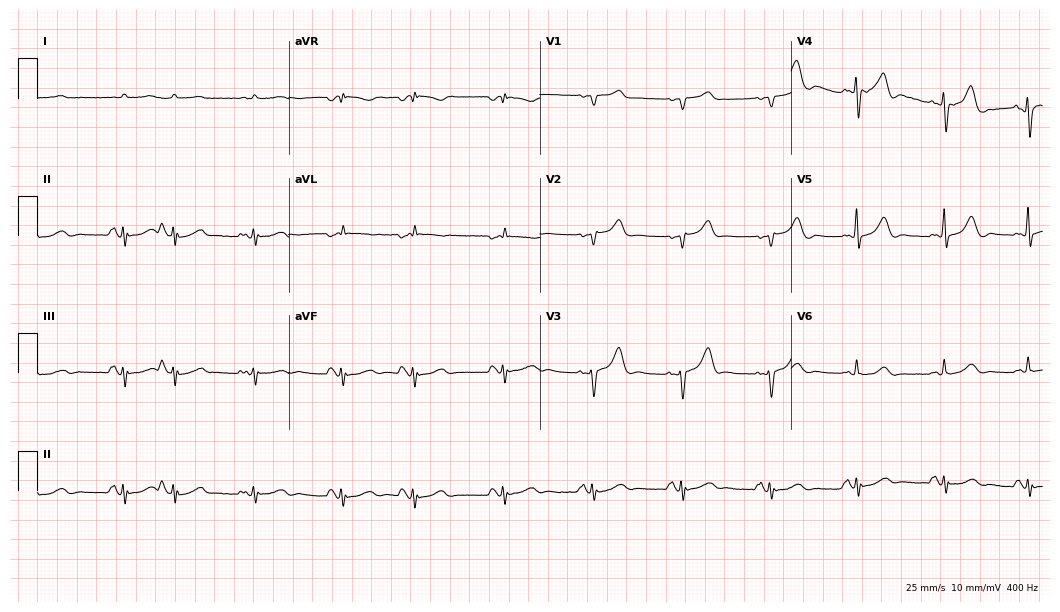
Electrocardiogram, a woman, 85 years old. Of the six screened findings (first-degree AV block, right bundle branch block (RBBB), left bundle branch block (LBBB), sinus bradycardia, atrial fibrillation (AF), sinus tachycardia), none is recorded. Other findings, if any, are not listed.